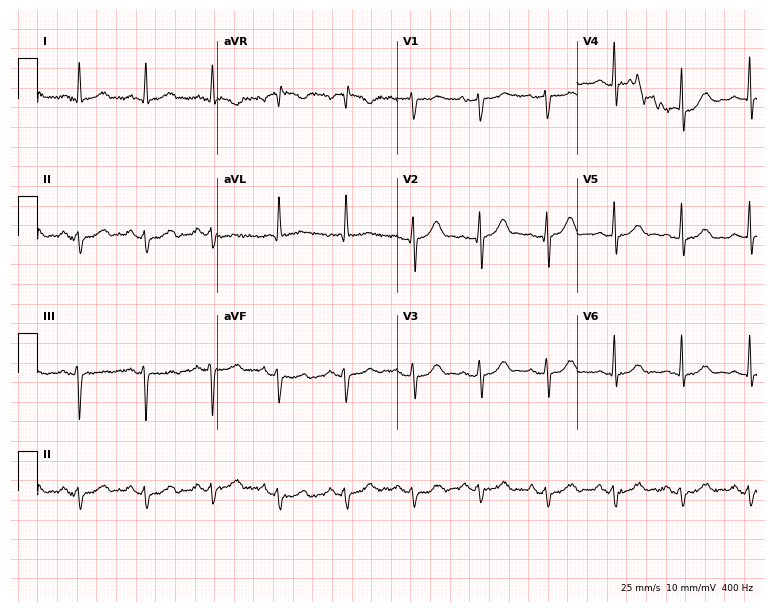
Standard 12-lead ECG recorded from a male, 57 years old. None of these six findings is recorded: first-degree AV block, right bundle branch block, left bundle branch block, sinus bradycardia, atrial fibrillation, sinus tachycardia. Findings outside these six are not listed.